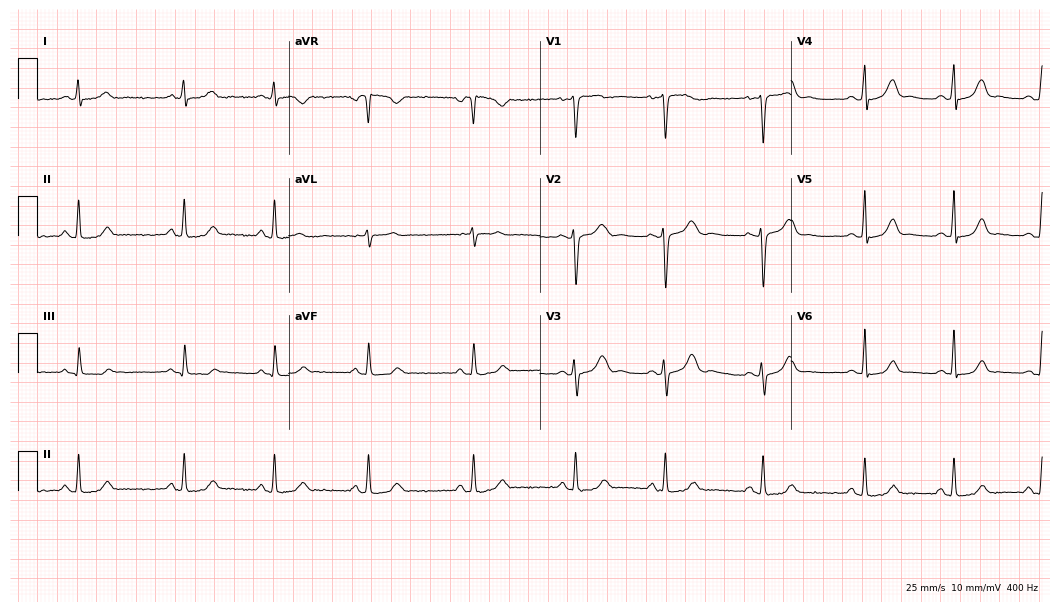
Standard 12-lead ECG recorded from a 23-year-old female. Read as a normal ECG.